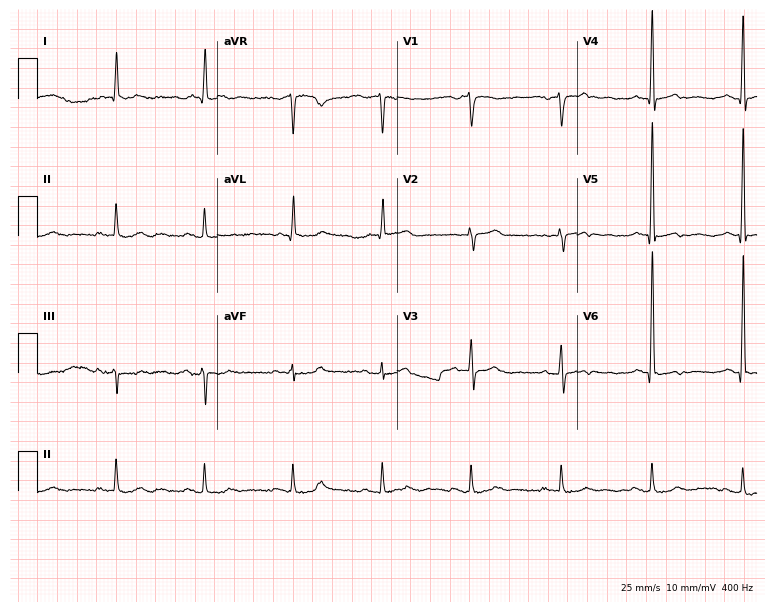
Standard 12-lead ECG recorded from a 76-year-old man. None of these six findings is recorded: first-degree AV block, right bundle branch block (RBBB), left bundle branch block (LBBB), sinus bradycardia, atrial fibrillation (AF), sinus tachycardia. Only these six findings were labelled.